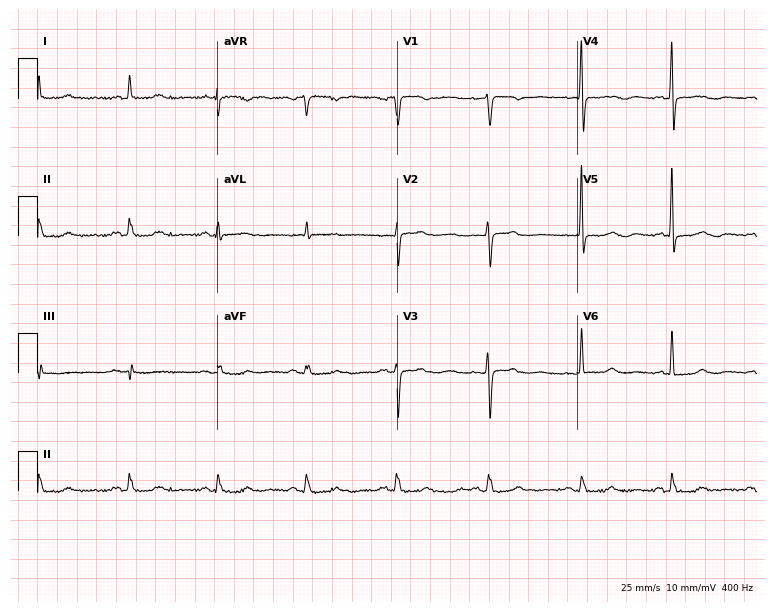
12-lead ECG (7.3-second recording at 400 Hz) from a woman, 77 years old. Screened for six findings — first-degree AV block, right bundle branch block, left bundle branch block, sinus bradycardia, atrial fibrillation, sinus tachycardia — none is recorded.